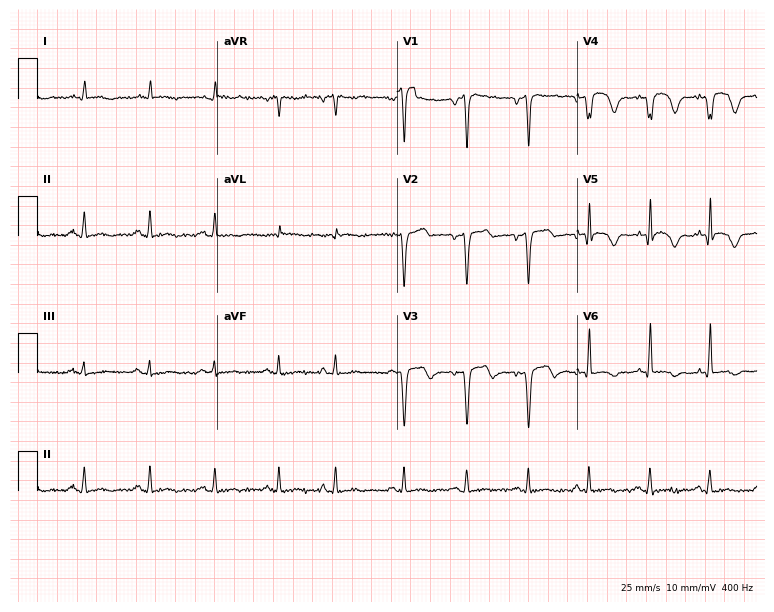
Electrocardiogram (7.3-second recording at 400 Hz), a 77-year-old man. Of the six screened findings (first-degree AV block, right bundle branch block (RBBB), left bundle branch block (LBBB), sinus bradycardia, atrial fibrillation (AF), sinus tachycardia), none is recorded.